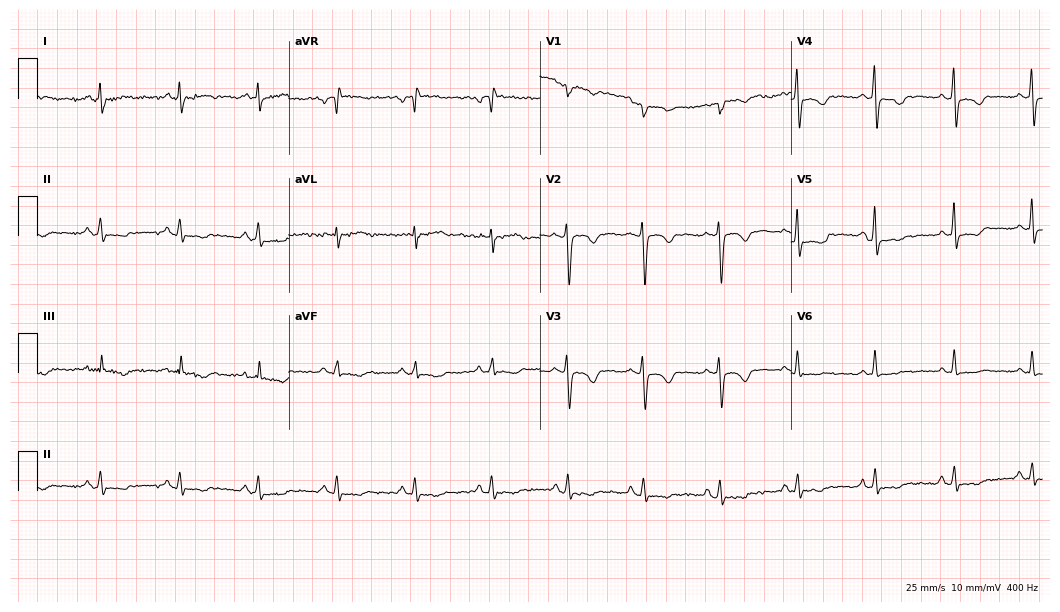
Electrocardiogram, a 50-year-old female. Of the six screened findings (first-degree AV block, right bundle branch block, left bundle branch block, sinus bradycardia, atrial fibrillation, sinus tachycardia), none is recorded. Findings outside these six are not listed.